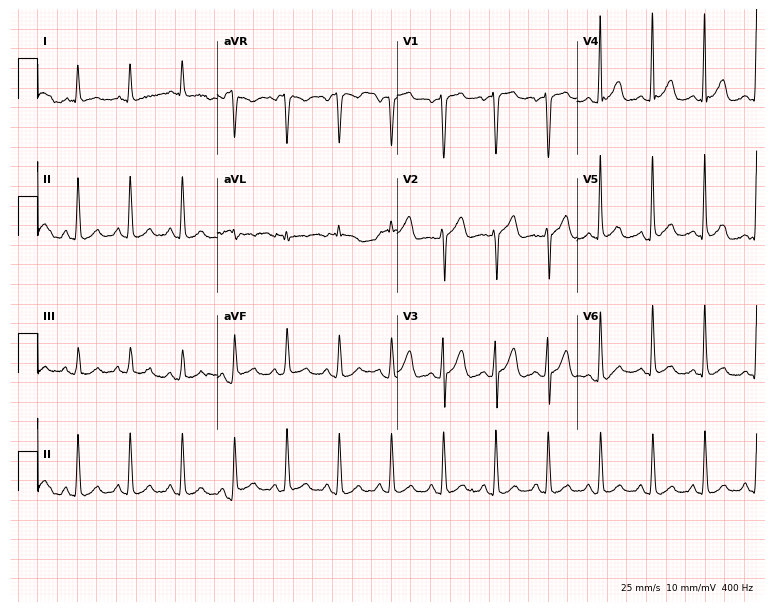
12-lead ECG (7.3-second recording at 400 Hz) from a 67-year-old male. Findings include sinus tachycardia (a sinus rate of 100 beats per minute or more).